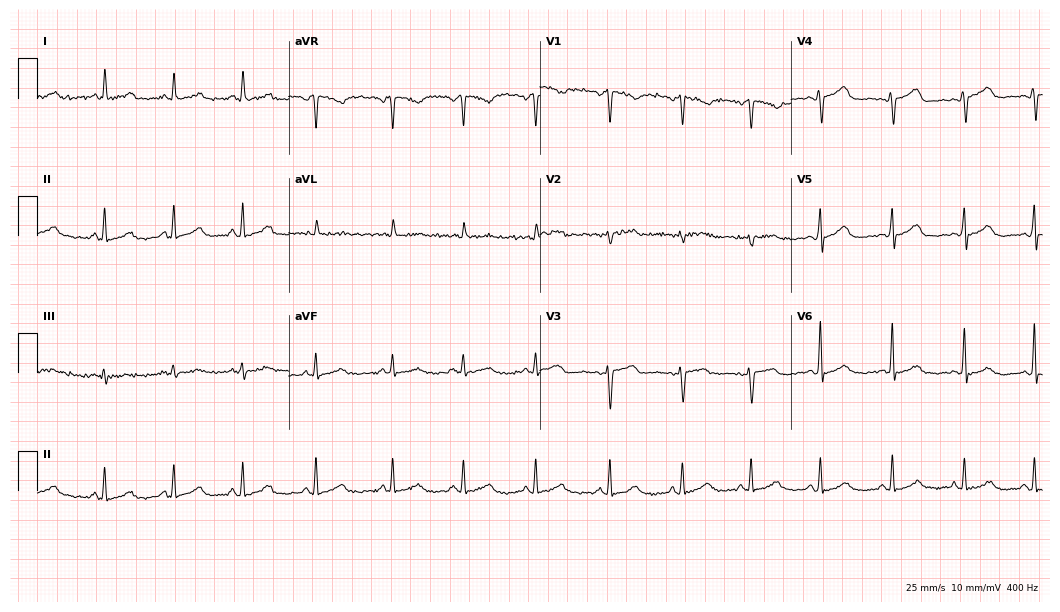
Resting 12-lead electrocardiogram. Patient: a 51-year-old woman. Read as a normal ECG.